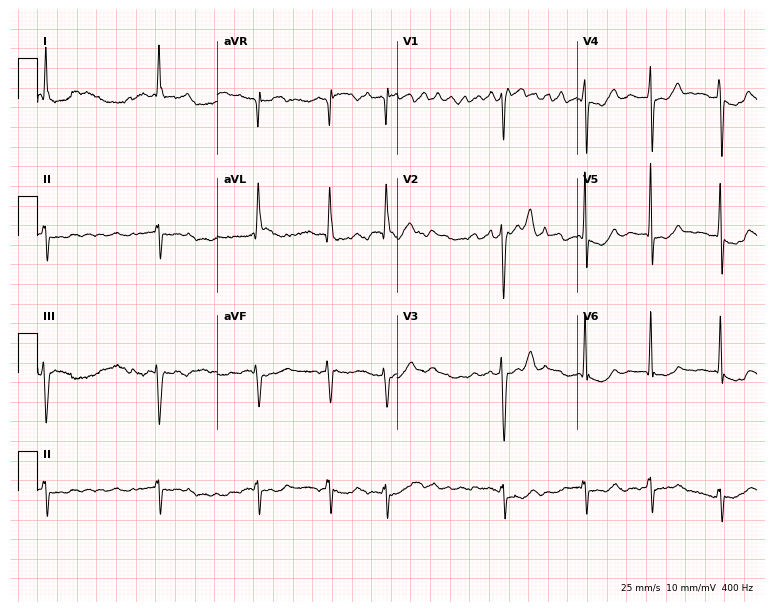
ECG — a 77-year-old woman. Findings include atrial fibrillation (AF).